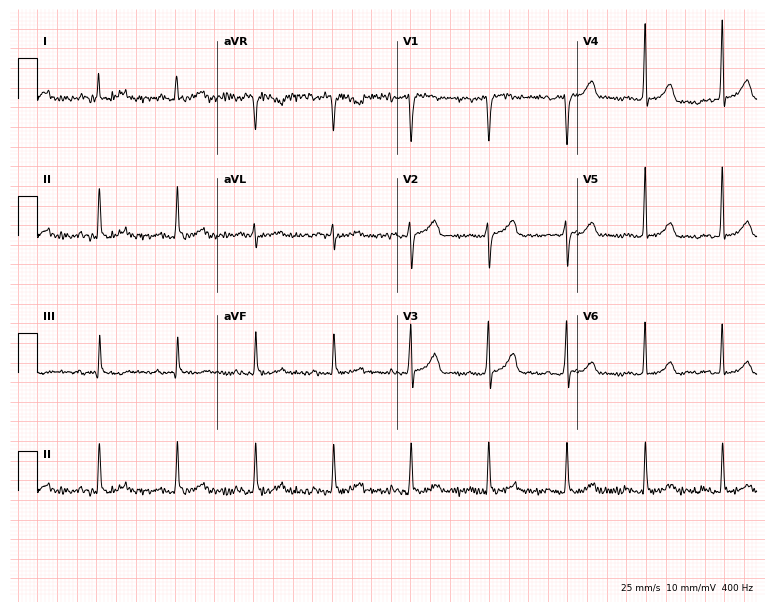
Standard 12-lead ECG recorded from a man, 55 years old. Read as a normal ECG.